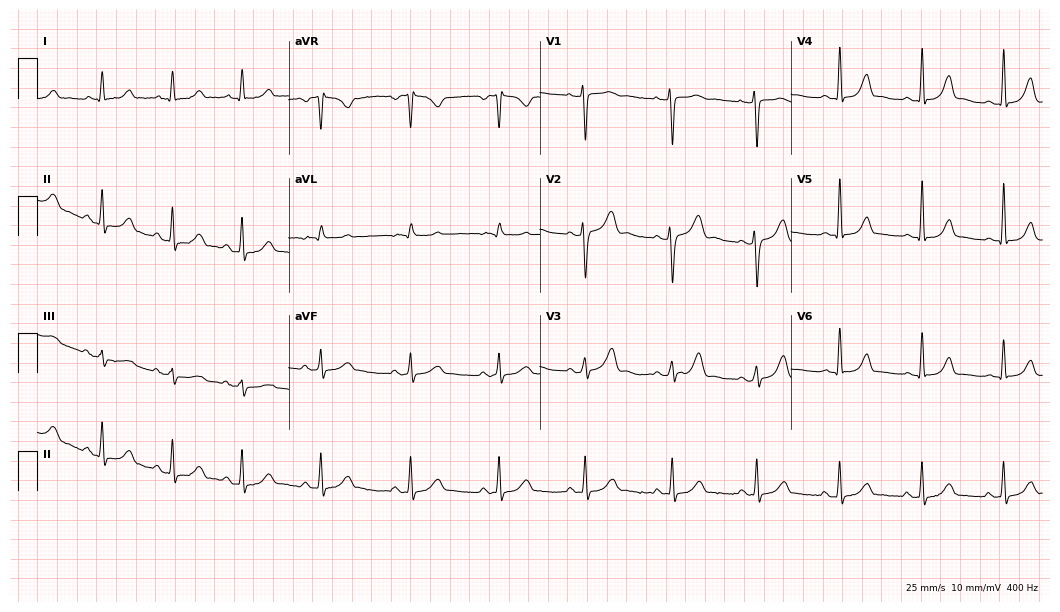
12-lead ECG from a female, 25 years old. Recorded interpretation: within normal limits.